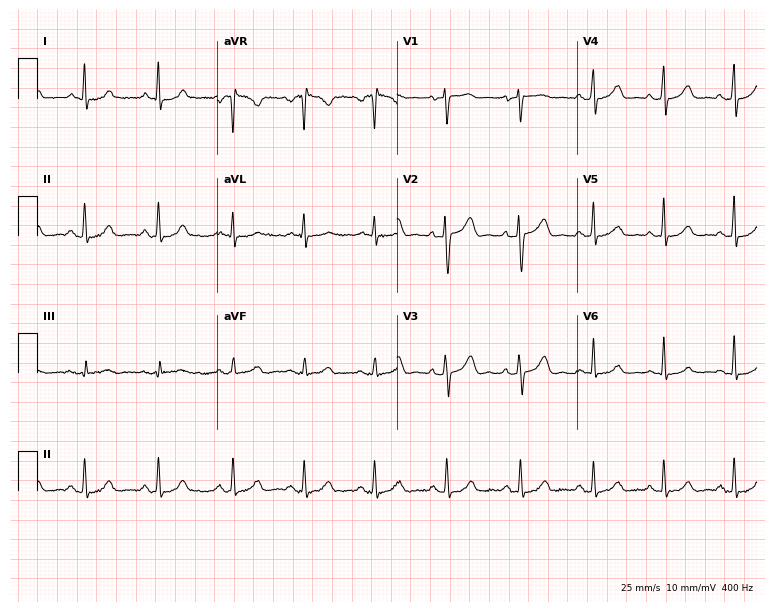
ECG — a 29-year-old woman. Labelled as a normal ECG.